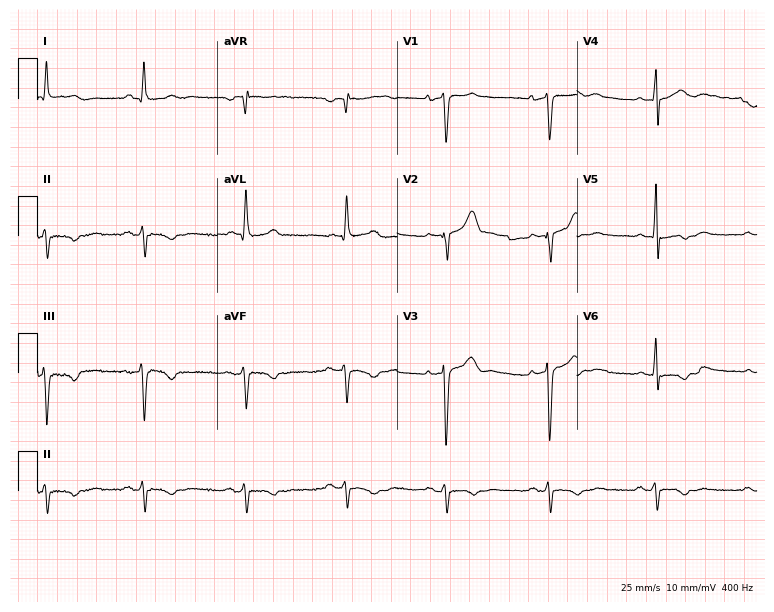
ECG (7.3-second recording at 400 Hz) — a 53-year-old male. Screened for six findings — first-degree AV block, right bundle branch block, left bundle branch block, sinus bradycardia, atrial fibrillation, sinus tachycardia — none is recorded.